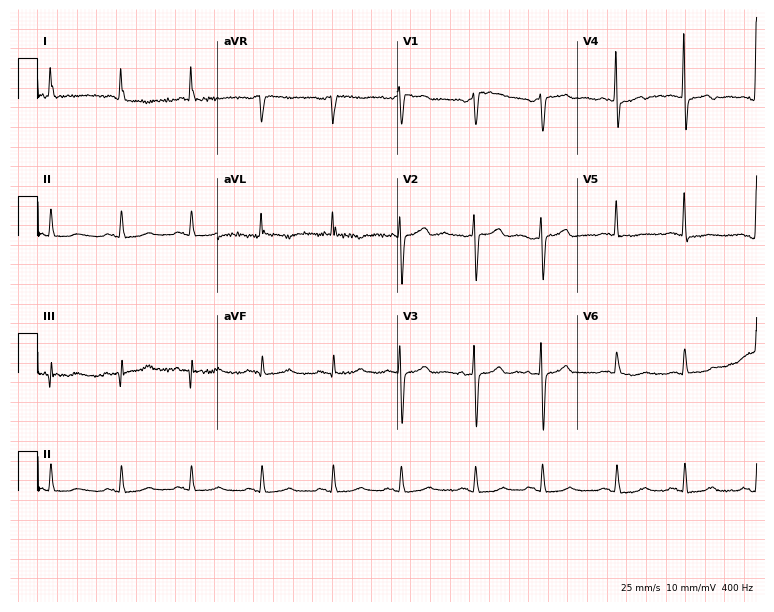
ECG — a female, 80 years old. Screened for six findings — first-degree AV block, right bundle branch block, left bundle branch block, sinus bradycardia, atrial fibrillation, sinus tachycardia — none is recorded. Only these six findings were labelled.